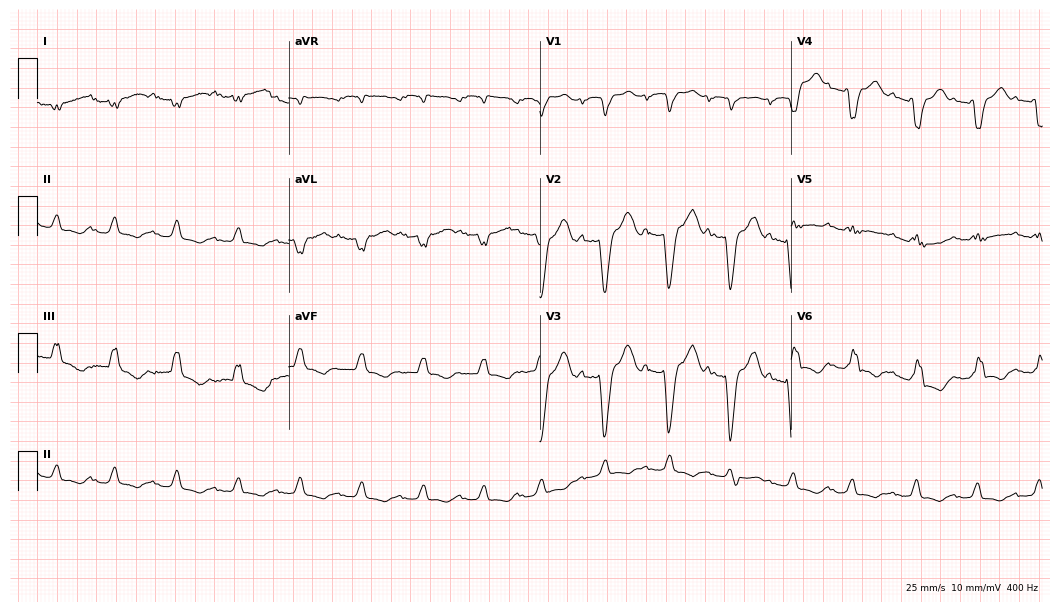
Resting 12-lead electrocardiogram. Patient: a female, 41 years old. The tracing shows first-degree AV block, left bundle branch block.